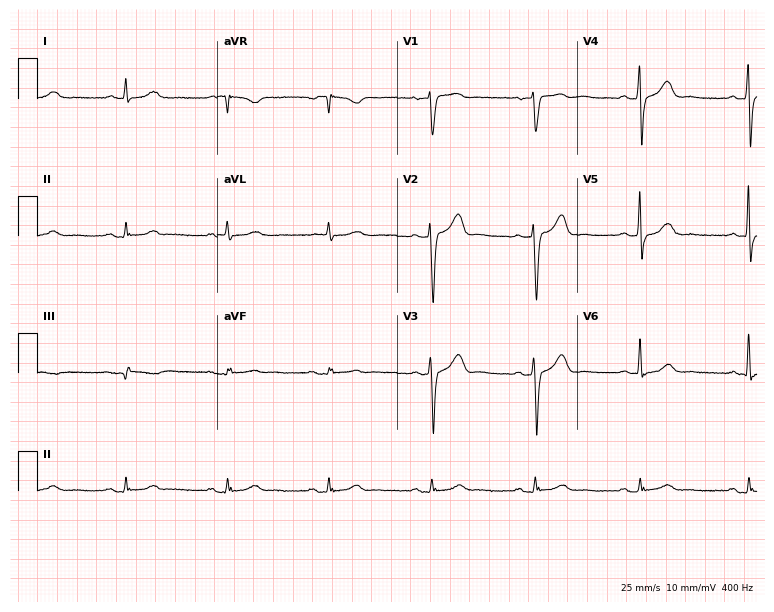
ECG (7.3-second recording at 400 Hz) — an 81-year-old man. Labelled as a normal ECG.